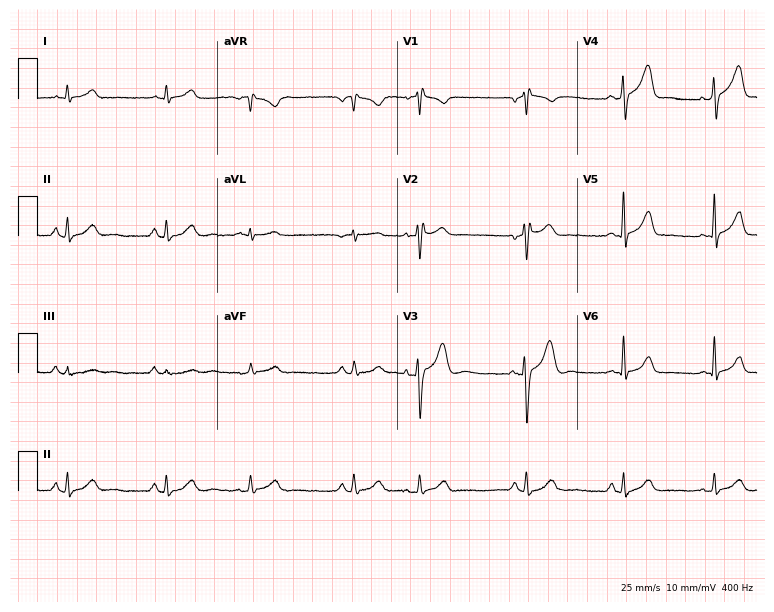
12-lead ECG from a 69-year-old male patient. Screened for six findings — first-degree AV block, right bundle branch block, left bundle branch block, sinus bradycardia, atrial fibrillation, sinus tachycardia — none is recorded.